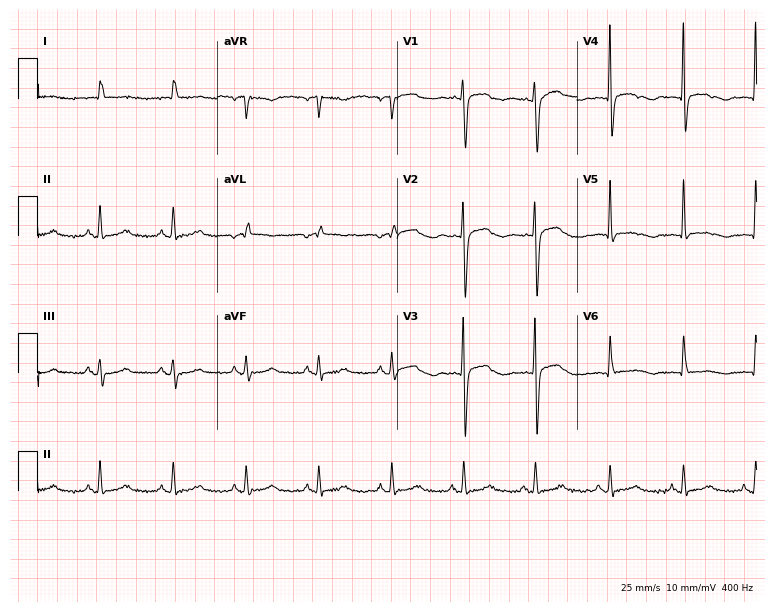
12-lead ECG from a woman, 85 years old. No first-degree AV block, right bundle branch block (RBBB), left bundle branch block (LBBB), sinus bradycardia, atrial fibrillation (AF) or sinus tachycardia recorded for this tracing.